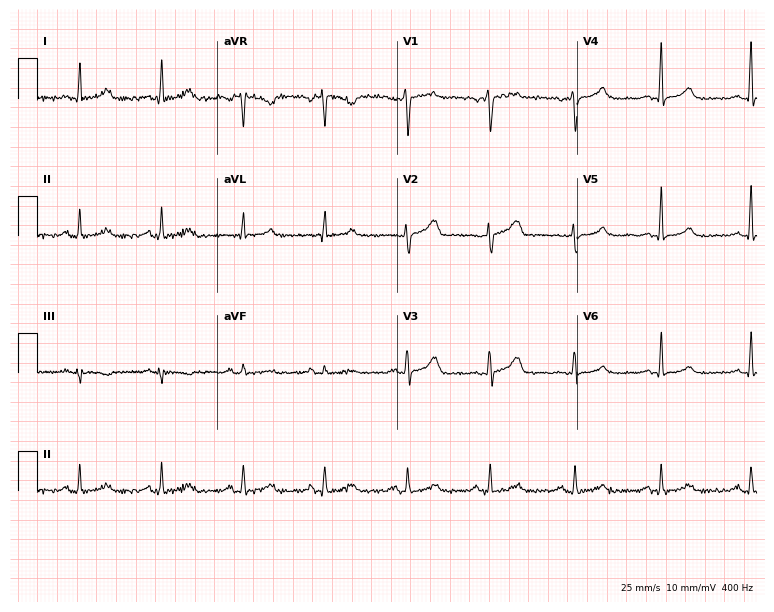
Resting 12-lead electrocardiogram (7.3-second recording at 400 Hz). Patient: a female, 43 years old. None of these six findings is recorded: first-degree AV block, right bundle branch block, left bundle branch block, sinus bradycardia, atrial fibrillation, sinus tachycardia.